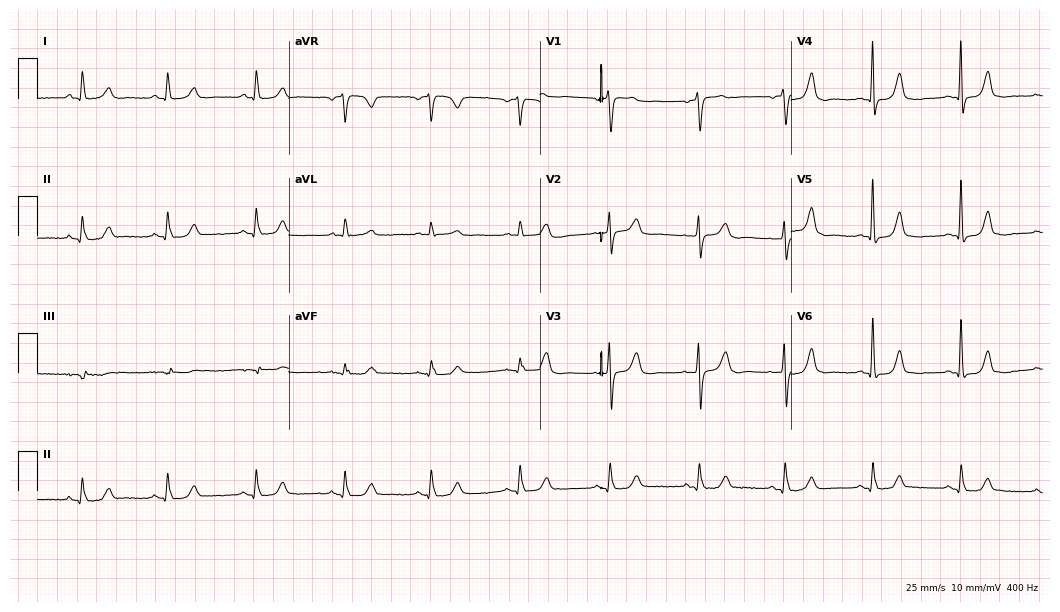
Standard 12-lead ECG recorded from a 73-year-old female patient. None of these six findings is recorded: first-degree AV block, right bundle branch block, left bundle branch block, sinus bradycardia, atrial fibrillation, sinus tachycardia. Other findings, if any, are not listed.